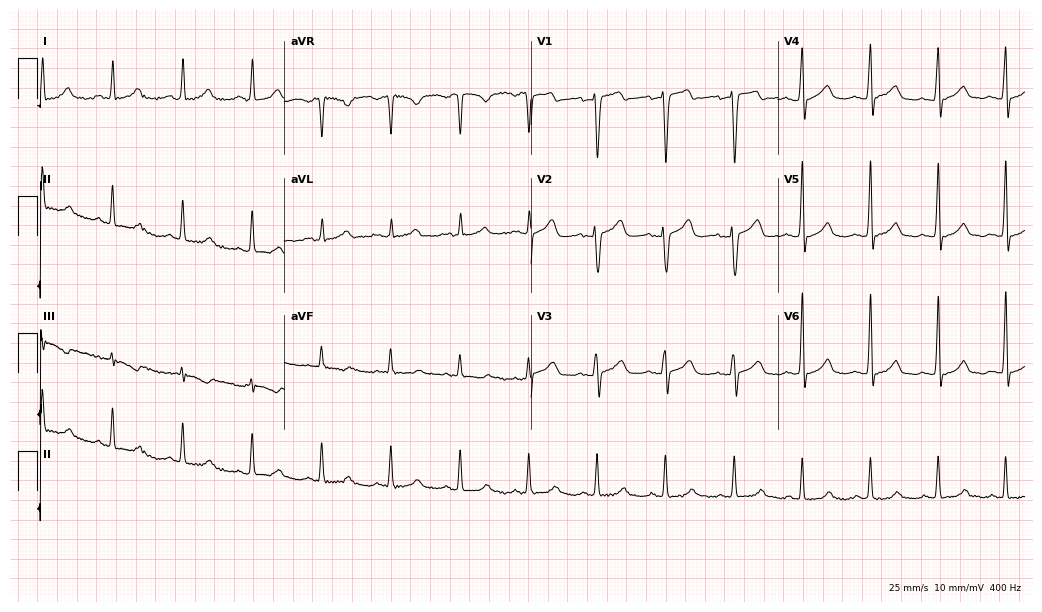
ECG — a 70-year-old female patient. Labelled as a normal ECG.